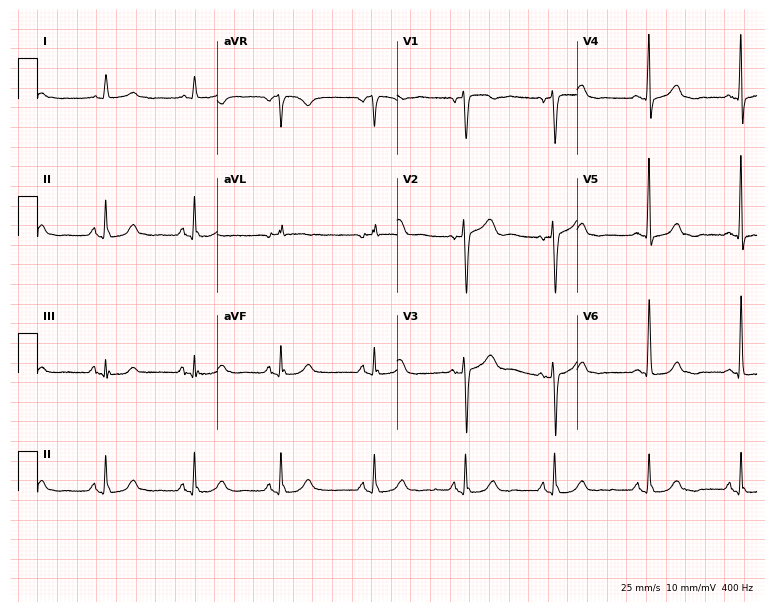
12-lead ECG from a 75-year-old female. No first-degree AV block, right bundle branch block, left bundle branch block, sinus bradycardia, atrial fibrillation or sinus tachycardia recorded for this tracing.